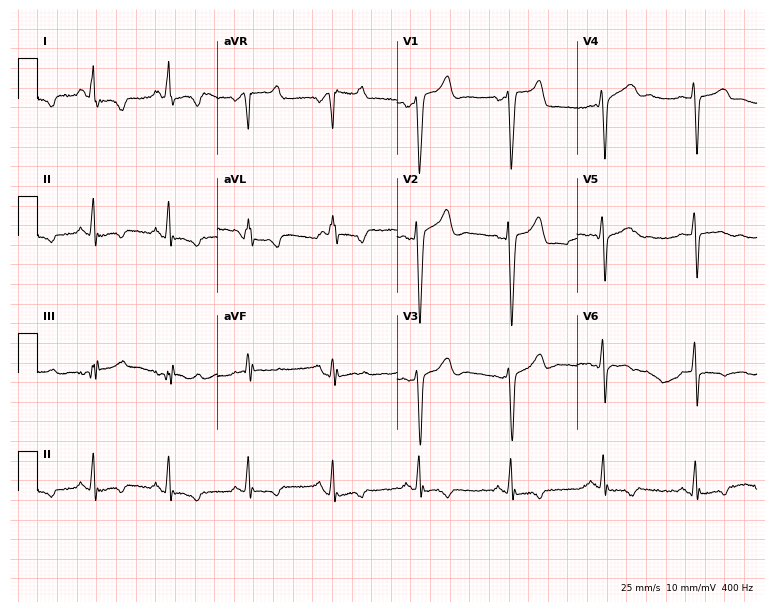
Standard 12-lead ECG recorded from a woman, 33 years old. None of these six findings is recorded: first-degree AV block, right bundle branch block (RBBB), left bundle branch block (LBBB), sinus bradycardia, atrial fibrillation (AF), sinus tachycardia. Other findings, if any, are not listed.